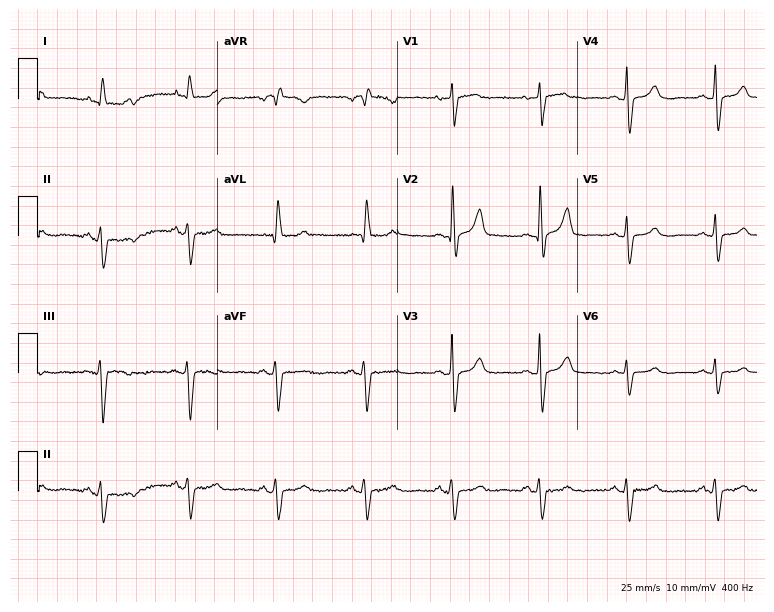
Resting 12-lead electrocardiogram. Patient: a 73-year-old female. None of these six findings is recorded: first-degree AV block, right bundle branch block, left bundle branch block, sinus bradycardia, atrial fibrillation, sinus tachycardia.